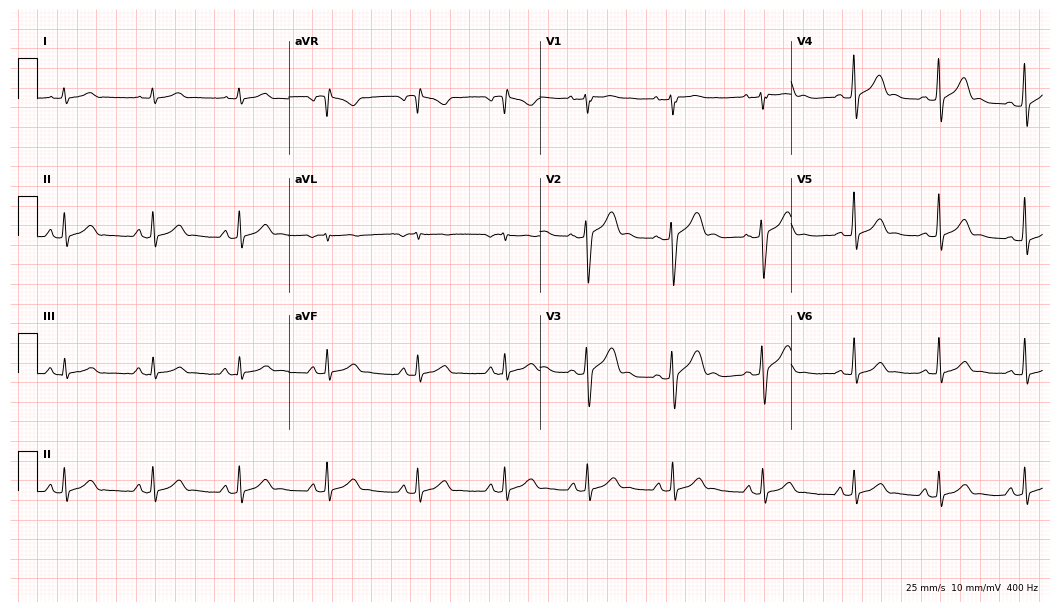
12-lead ECG from a man, 47 years old. Screened for six findings — first-degree AV block, right bundle branch block (RBBB), left bundle branch block (LBBB), sinus bradycardia, atrial fibrillation (AF), sinus tachycardia — none is recorded.